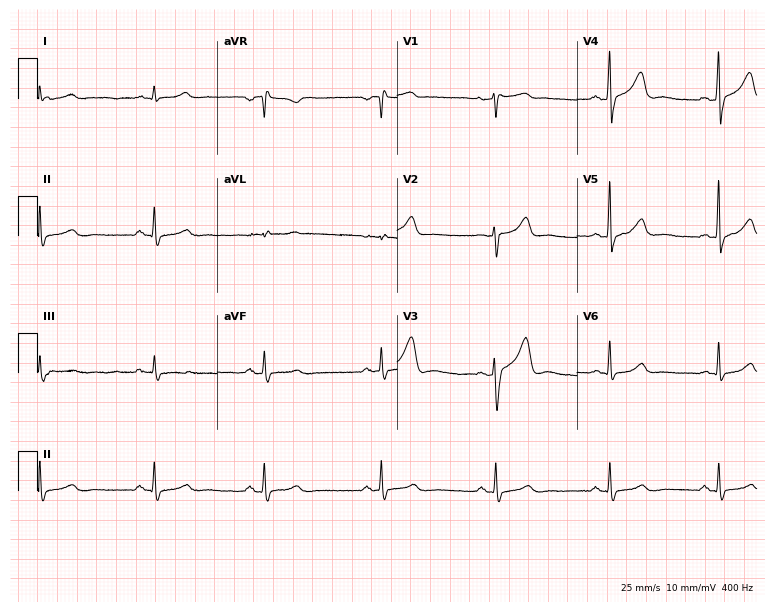
ECG — a male patient, 46 years old. Labelled as a normal ECG.